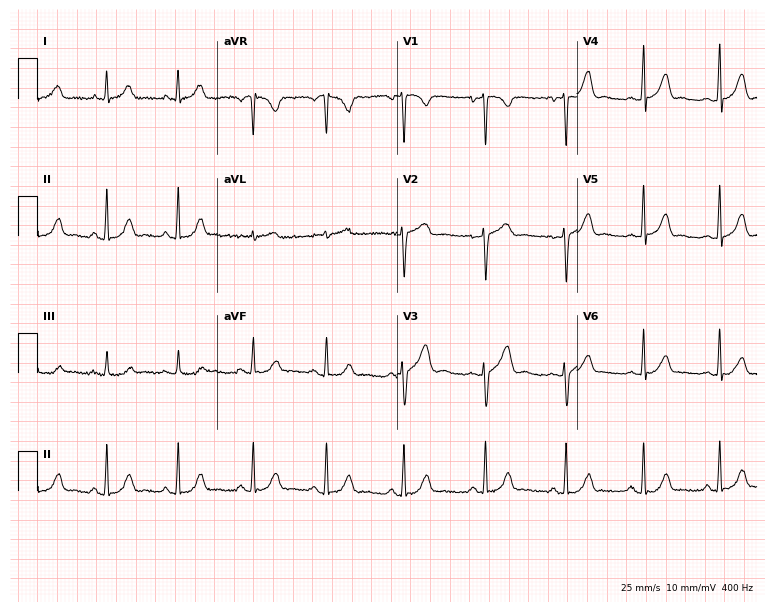
12-lead ECG from a female, 45 years old. Recorded interpretation: within normal limits.